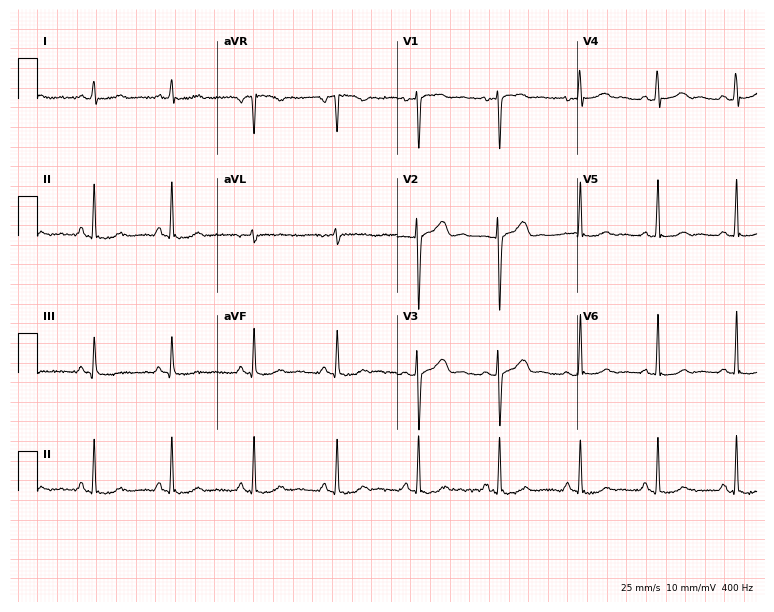
Electrocardiogram, a 22-year-old female patient. Of the six screened findings (first-degree AV block, right bundle branch block, left bundle branch block, sinus bradycardia, atrial fibrillation, sinus tachycardia), none is recorded. Only these six findings were labelled.